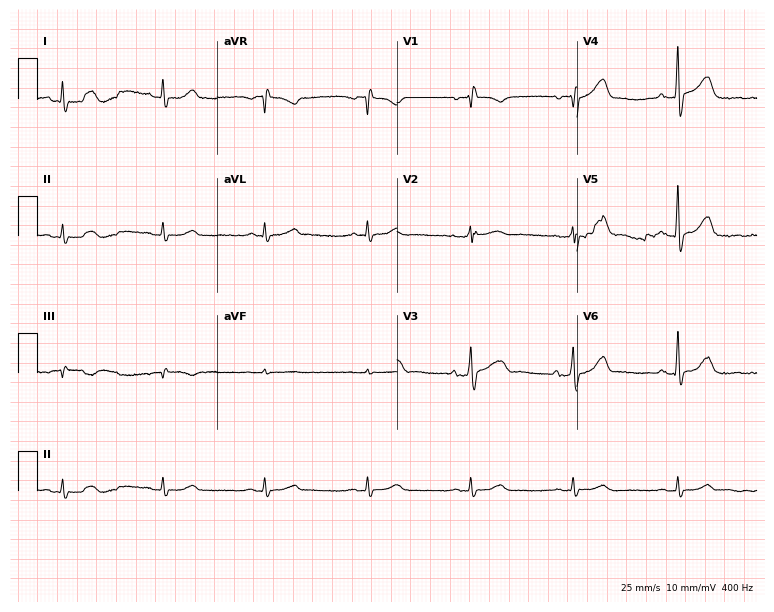
12-lead ECG (7.3-second recording at 400 Hz) from a male, 70 years old. Screened for six findings — first-degree AV block, right bundle branch block, left bundle branch block, sinus bradycardia, atrial fibrillation, sinus tachycardia — none is recorded.